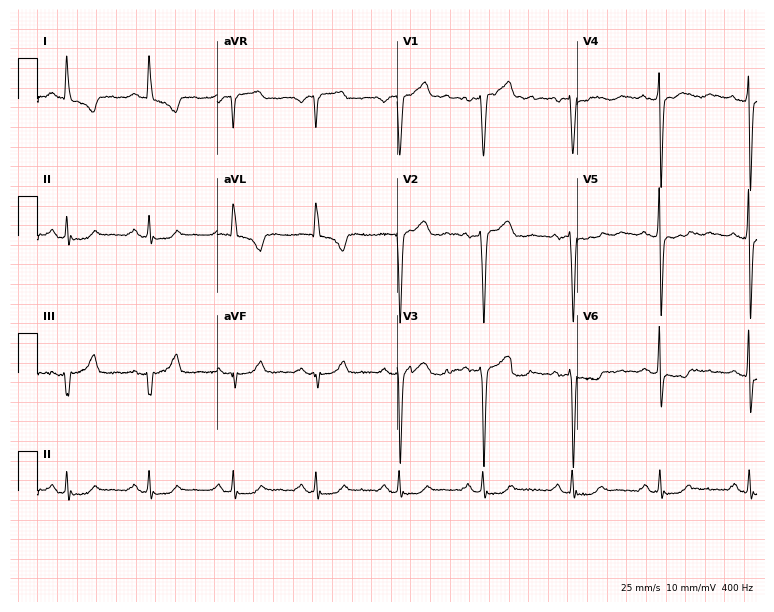
Electrocardiogram, a woman, 54 years old. Of the six screened findings (first-degree AV block, right bundle branch block, left bundle branch block, sinus bradycardia, atrial fibrillation, sinus tachycardia), none is recorded.